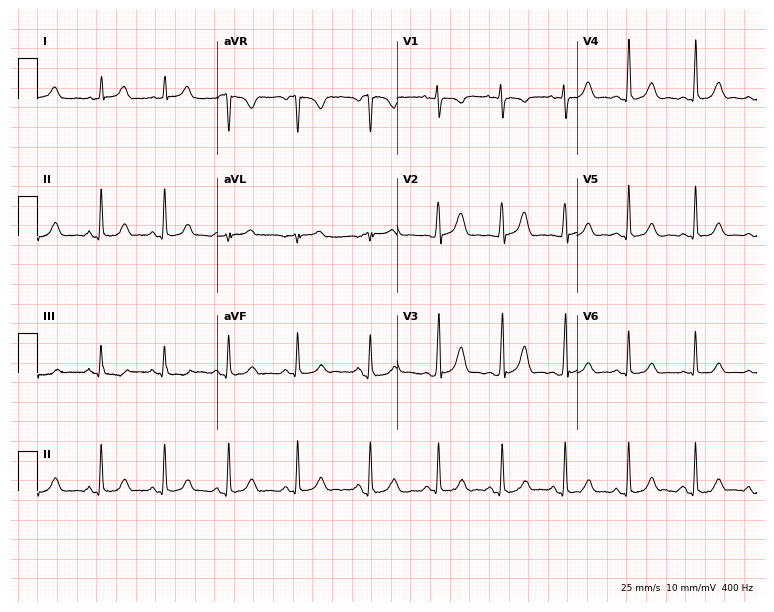
ECG — a female, 19 years old. Labelled as a normal ECG.